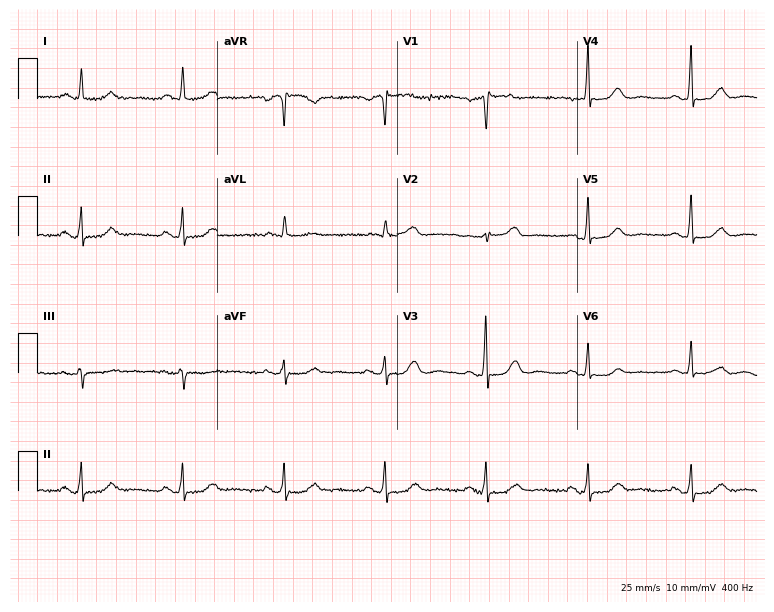
Resting 12-lead electrocardiogram. Patient: a female, 84 years old. None of these six findings is recorded: first-degree AV block, right bundle branch block, left bundle branch block, sinus bradycardia, atrial fibrillation, sinus tachycardia.